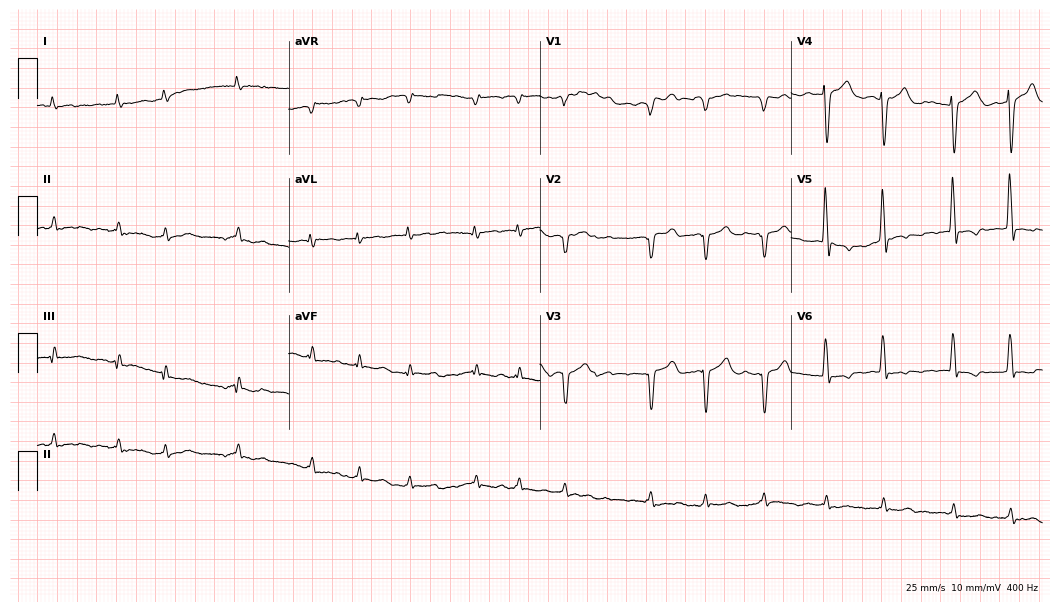
Electrocardiogram (10.2-second recording at 400 Hz), a male, 83 years old. Interpretation includes atrial fibrillation (AF).